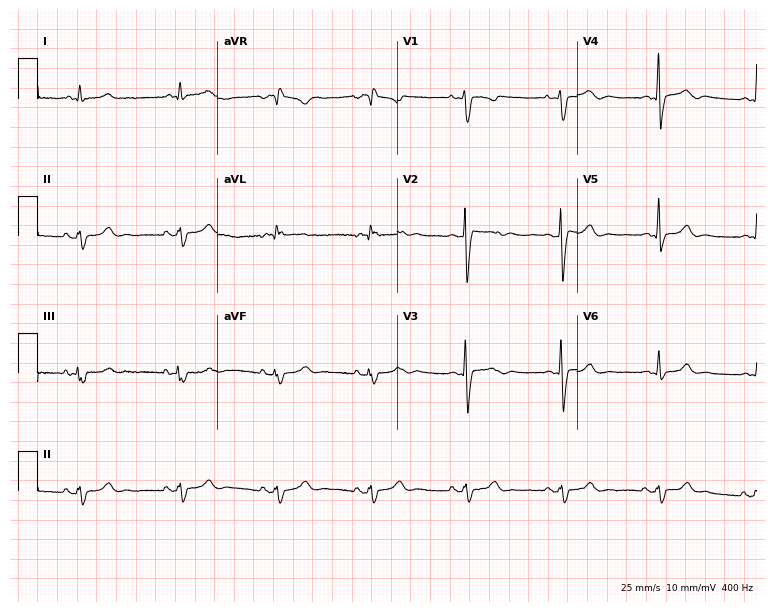
Standard 12-lead ECG recorded from a 25-year-old man (7.3-second recording at 400 Hz). None of these six findings is recorded: first-degree AV block, right bundle branch block (RBBB), left bundle branch block (LBBB), sinus bradycardia, atrial fibrillation (AF), sinus tachycardia. Findings outside these six are not listed.